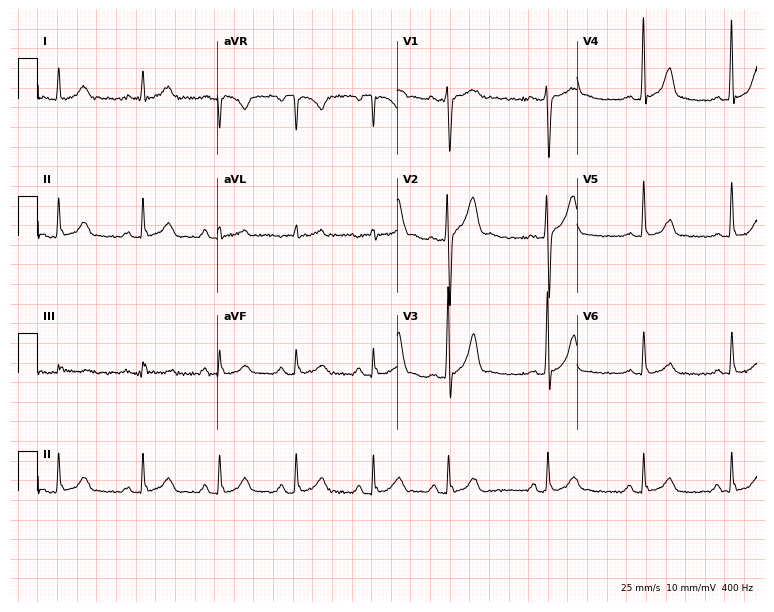
ECG — a 25-year-old male. Labelled as a normal ECG.